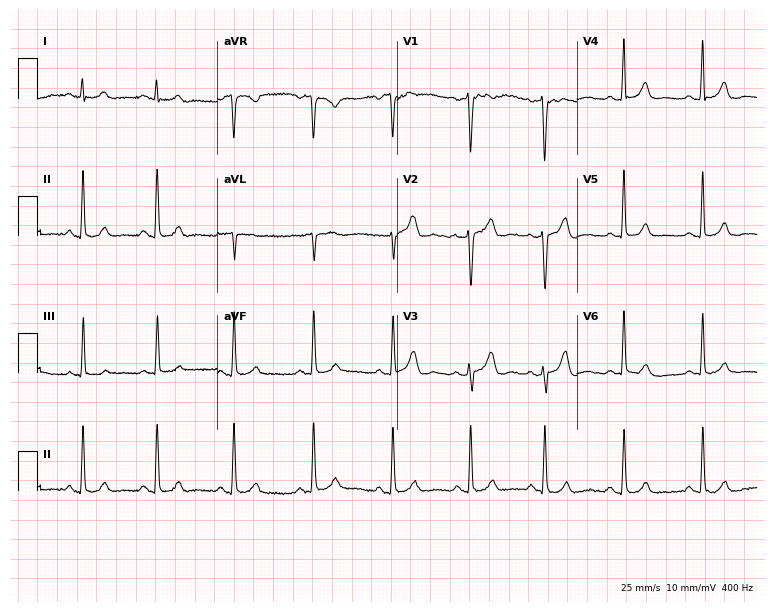
12-lead ECG from a 38-year-old female patient. No first-degree AV block, right bundle branch block (RBBB), left bundle branch block (LBBB), sinus bradycardia, atrial fibrillation (AF) or sinus tachycardia recorded for this tracing.